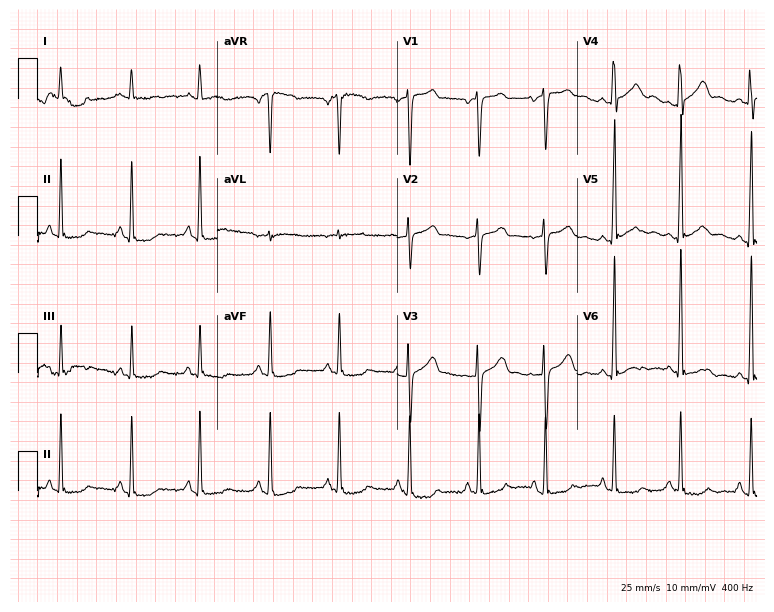
Standard 12-lead ECG recorded from a male, 80 years old. None of these six findings is recorded: first-degree AV block, right bundle branch block, left bundle branch block, sinus bradycardia, atrial fibrillation, sinus tachycardia.